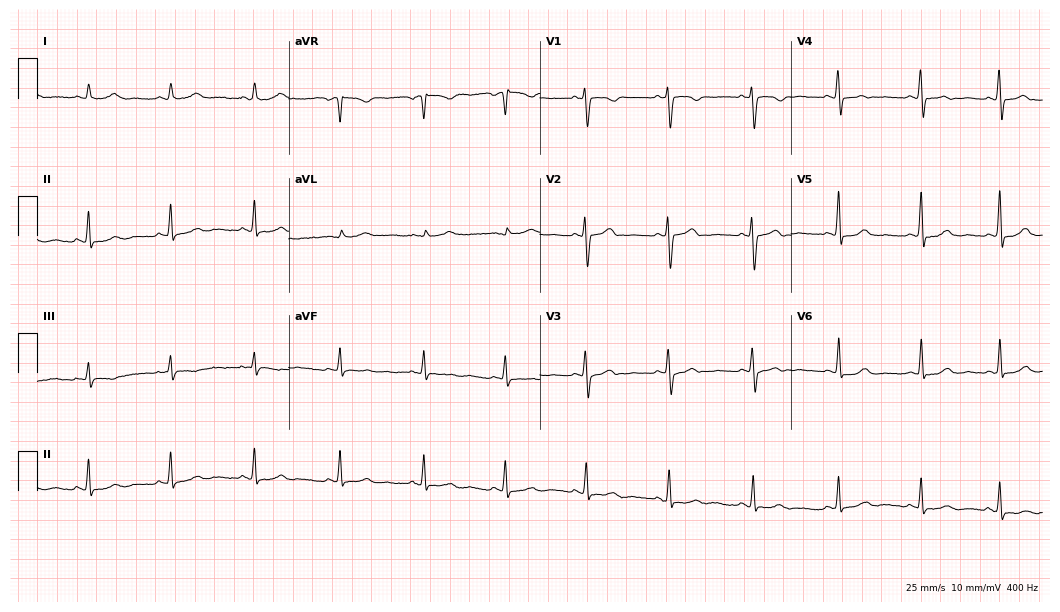
Standard 12-lead ECG recorded from a woman, 49 years old (10.2-second recording at 400 Hz). Read as a normal ECG.